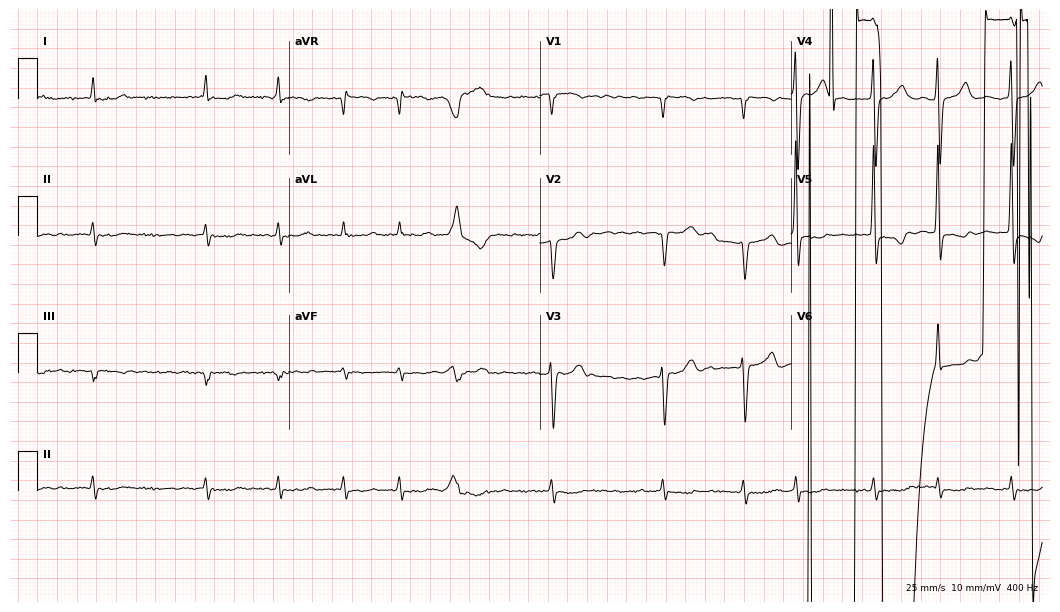
Resting 12-lead electrocardiogram. Patient: a male, 76 years old. The tracing shows atrial fibrillation.